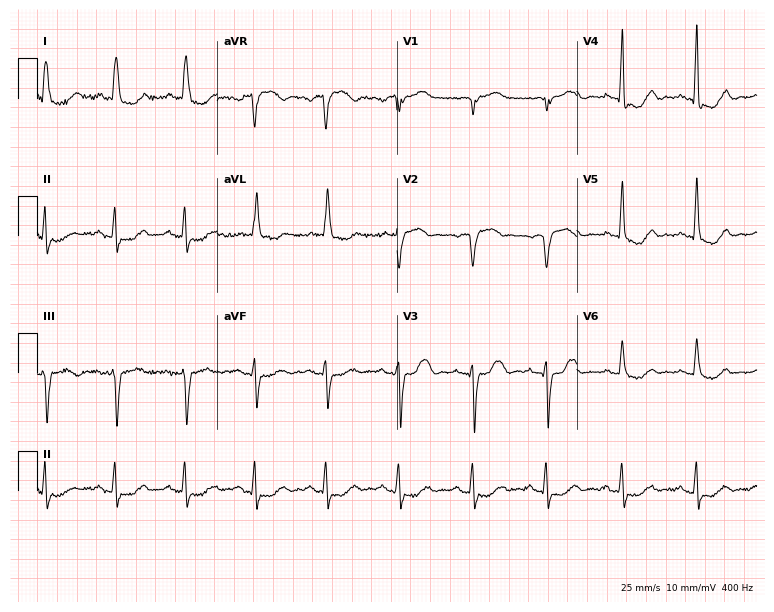
12-lead ECG from a female patient, 83 years old (7.3-second recording at 400 Hz). No first-degree AV block, right bundle branch block, left bundle branch block, sinus bradycardia, atrial fibrillation or sinus tachycardia recorded for this tracing. Only these six findings were labelled.